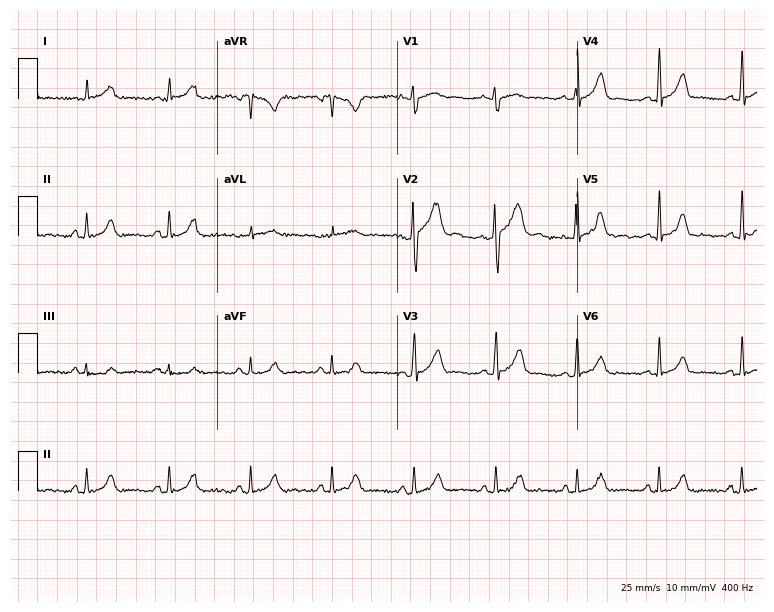
12-lead ECG from a 21-year-old female patient. Recorded interpretation: within normal limits.